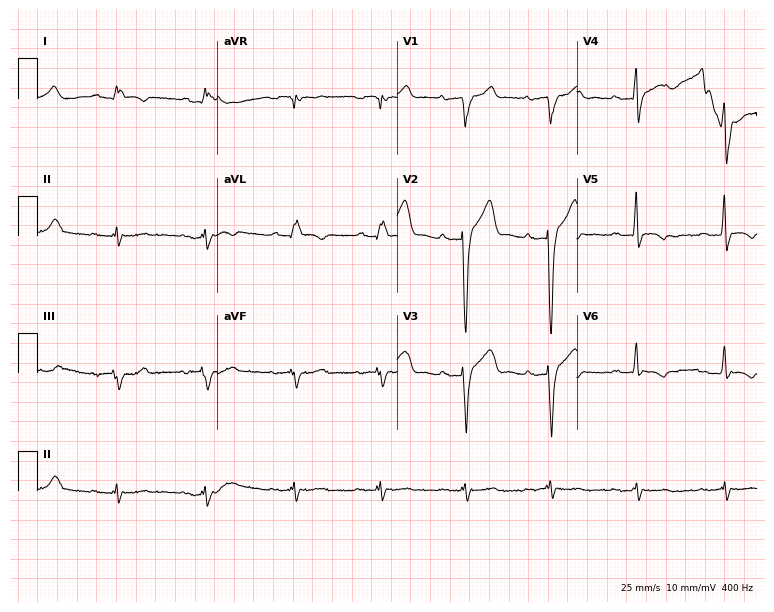
Electrocardiogram, a male, 65 years old. Of the six screened findings (first-degree AV block, right bundle branch block, left bundle branch block, sinus bradycardia, atrial fibrillation, sinus tachycardia), none is recorded.